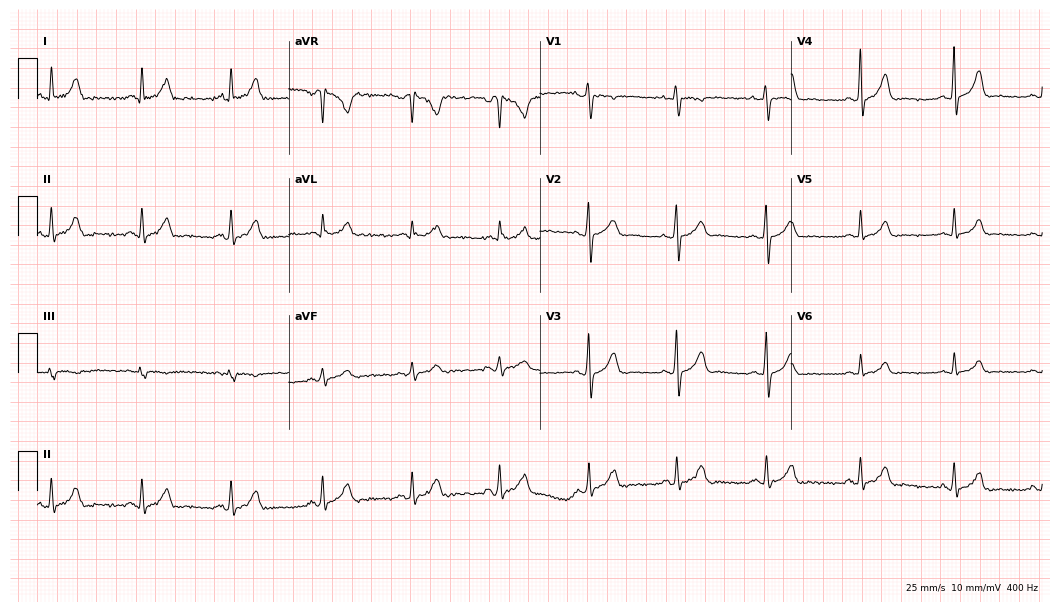
12-lead ECG from a woman, 35 years old (10.2-second recording at 400 Hz). Recorded interpretation: within normal limits.